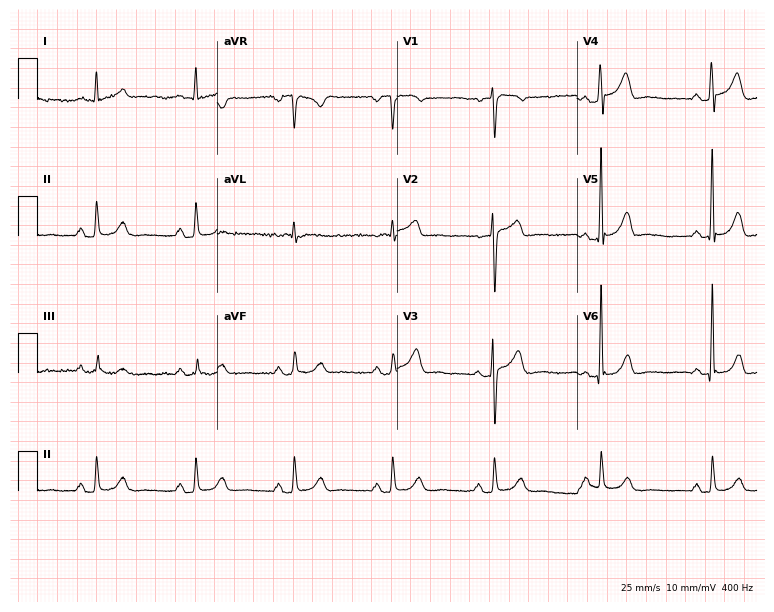
Resting 12-lead electrocardiogram (7.3-second recording at 400 Hz). Patient: a 58-year-old female. Read as a normal ECG.